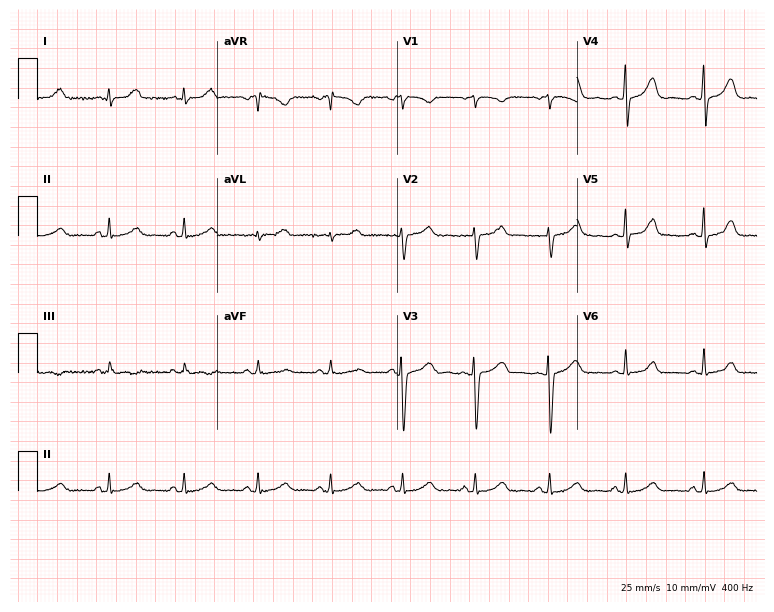
Standard 12-lead ECG recorded from a 42-year-old woman (7.3-second recording at 400 Hz). None of these six findings is recorded: first-degree AV block, right bundle branch block, left bundle branch block, sinus bradycardia, atrial fibrillation, sinus tachycardia. Findings outside these six are not listed.